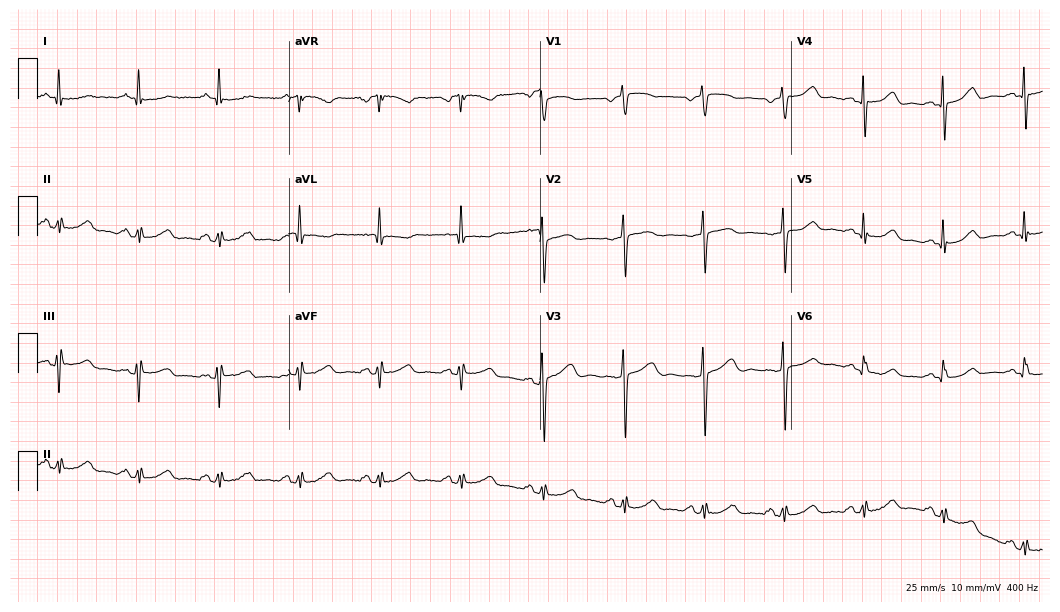
Electrocardiogram (10.2-second recording at 400 Hz), a woman, 52 years old. Of the six screened findings (first-degree AV block, right bundle branch block, left bundle branch block, sinus bradycardia, atrial fibrillation, sinus tachycardia), none is recorded.